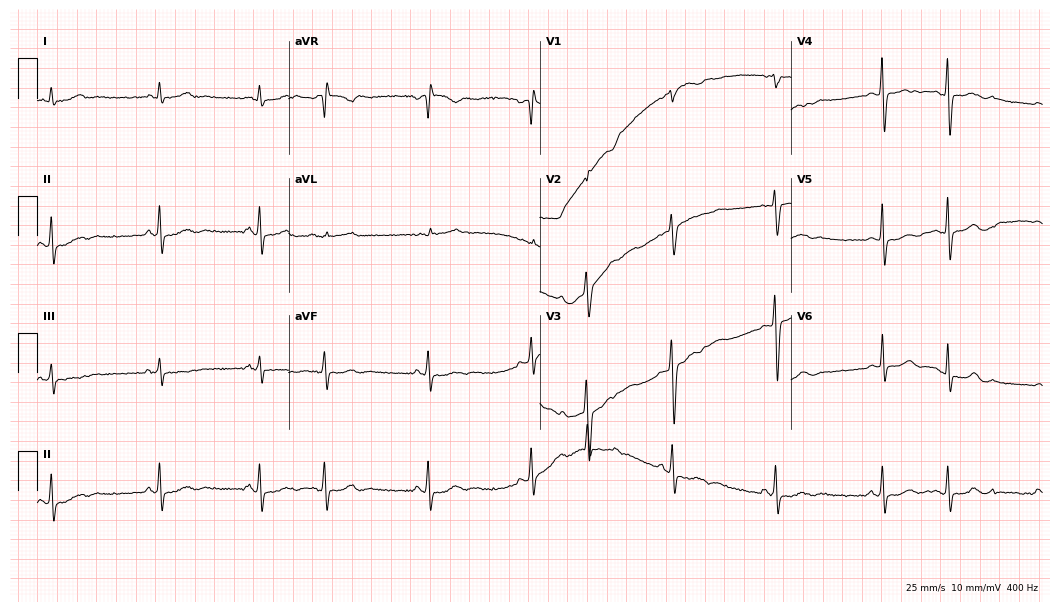
12-lead ECG from a woman, 26 years old. No first-degree AV block, right bundle branch block (RBBB), left bundle branch block (LBBB), sinus bradycardia, atrial fibrillation (AF) or sinus tachycardia recorded for this tracing. Findings outside these six are not listed.